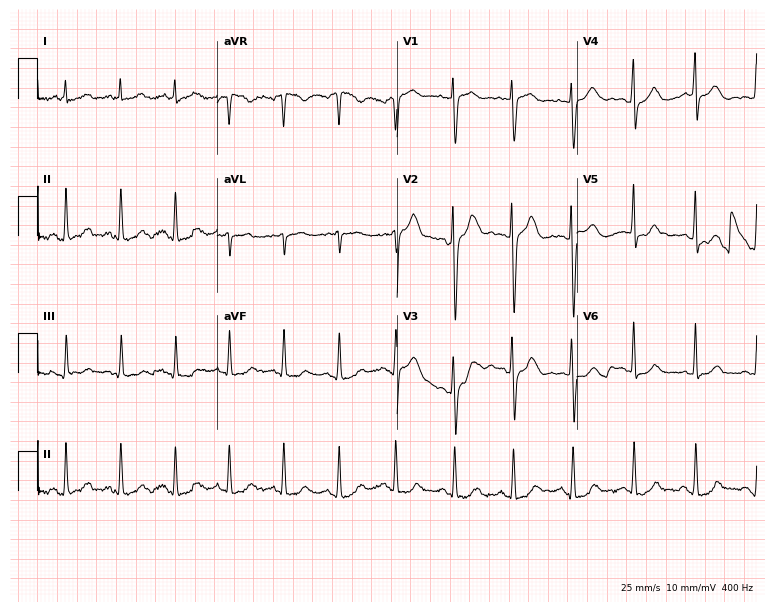
ECG — a male, 48 years old. Screened for six findings — first-degree AV block, right bundle branch block (RBBB), left bundle branch block (LBBB), sinus bradycardia, atrial fibrillation (AF), sinus tachycardia — none is recorded.